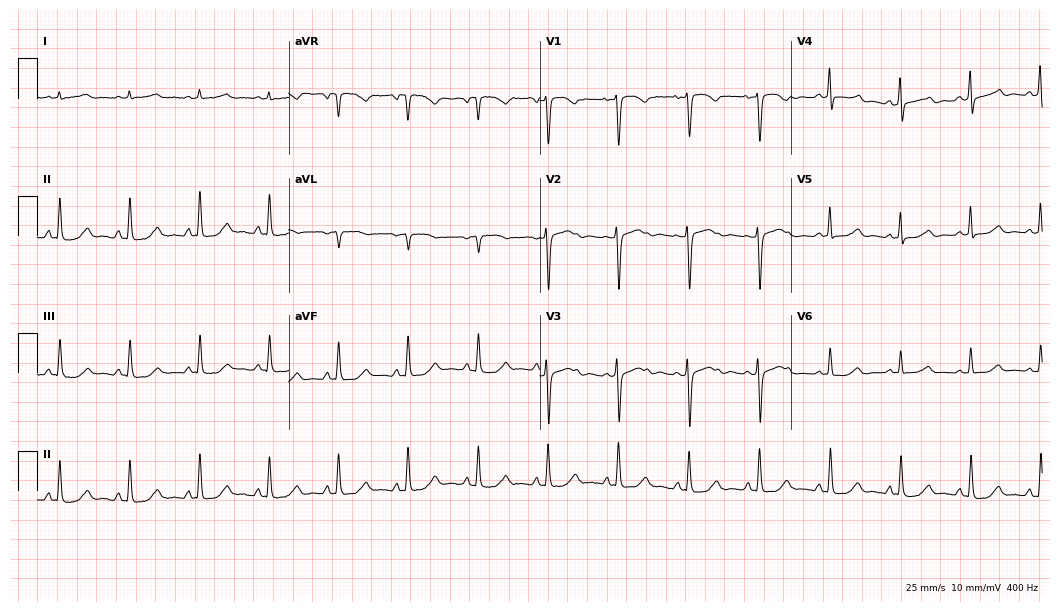
ECG (10.2-second recording at 400 Hz) — a 51-year-old man. Screened for six findings — first-degree AV block, right bundle branch block, left bundle branch block, sinus bradycardia, atrial fibrillation, sinus tachycardia — none is recorded. Only these six findings were labelled.